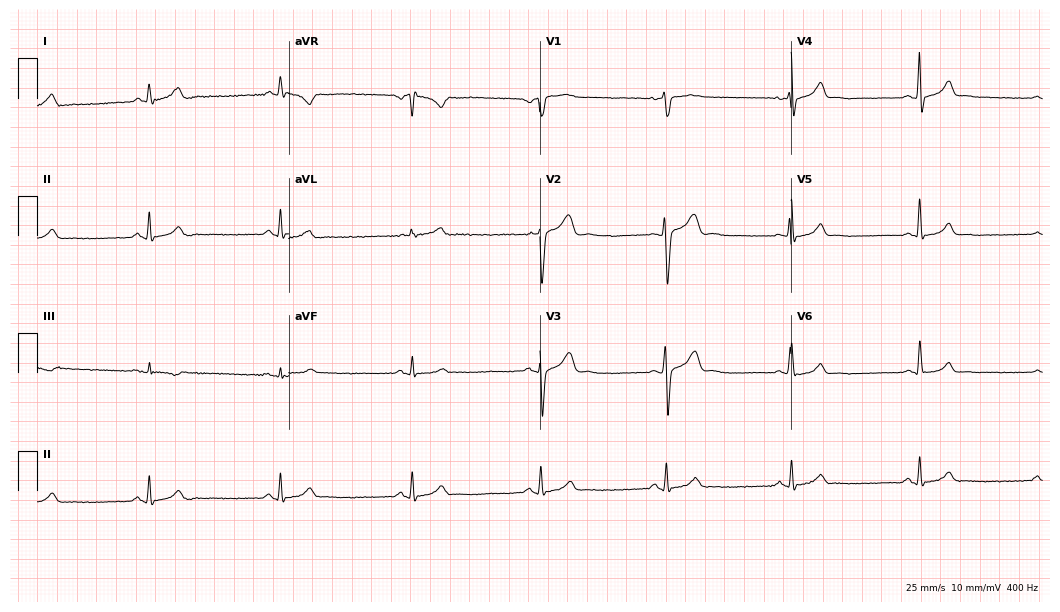
ECG — a male patient, 37 years old. Screened for six findings — first-degree AV block, right bundle branch block, left bundle branch block, sinus bradycardia, atrial fibrillation, sinus tachycardia — none is recorded. Findings outside these six are not listed.